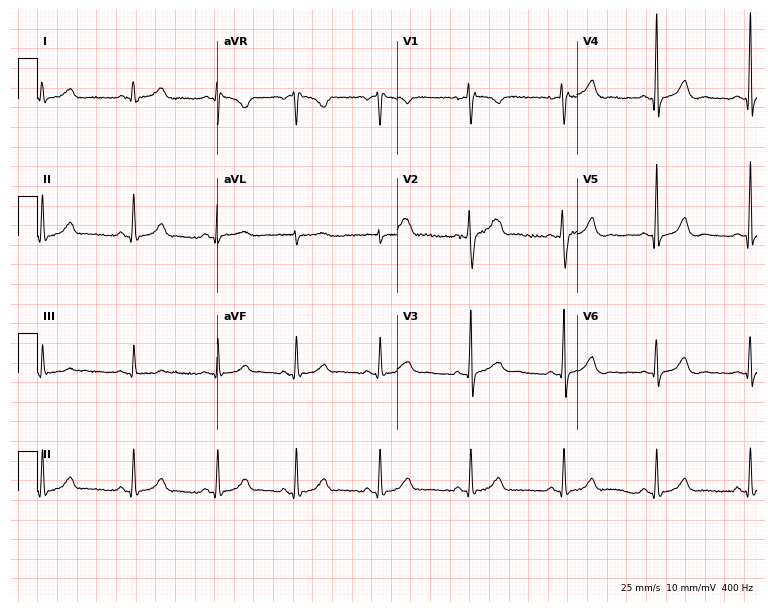
Standard 12-lead ECG recorded from a 38-year-old man. None of these six findings is recorded: first-degree AV block, right bundle branch block (RBBB), left bundle branch block (LBBB), sinus bradycardia, atrial fibrillation (AF), sinus tachycardia.